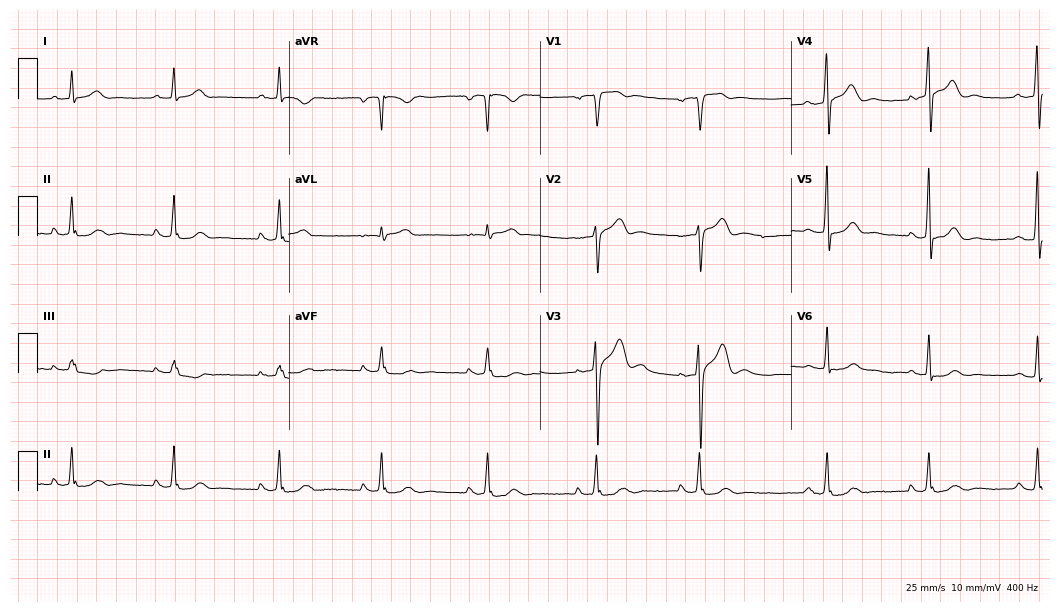
ECG (10.2-second recording at 400 Hz) — a man, 60 years old. Labelled as a normal ECG.